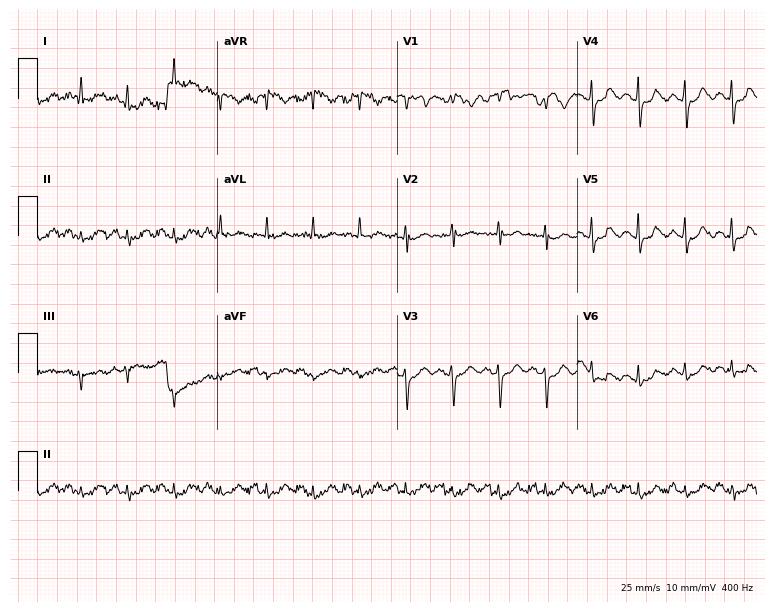
Resting 12-lead electrocardiogram. Patient: a female, 69 years old. None of these six findings is recorded: first-degree AV block, right bundle branch block, left bundle branch block, sinus bradycardia, atrial fibrillation, sinus tachycardia. Other findings, if any, are not listed.